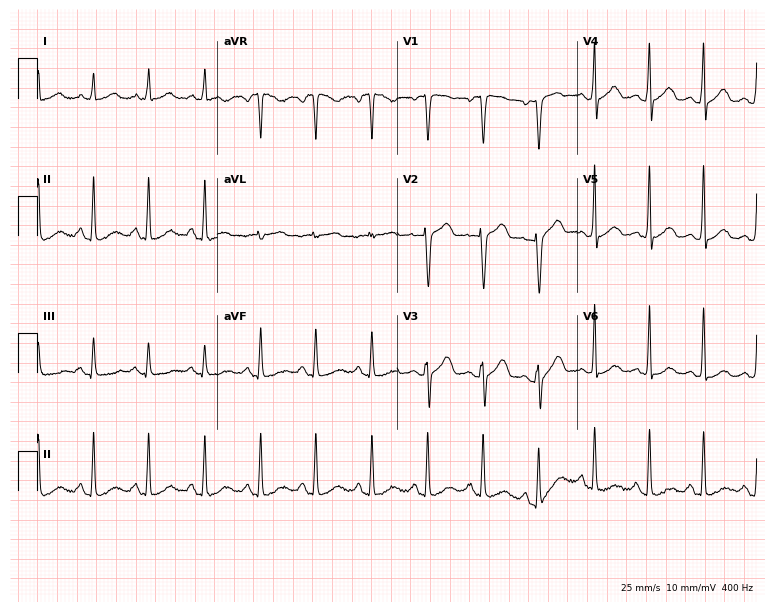
Electrocardiogram, a 54-year-old woman. Interpretation includes sinus tachycardia (a sinus rate of 100 beats per minute or more).